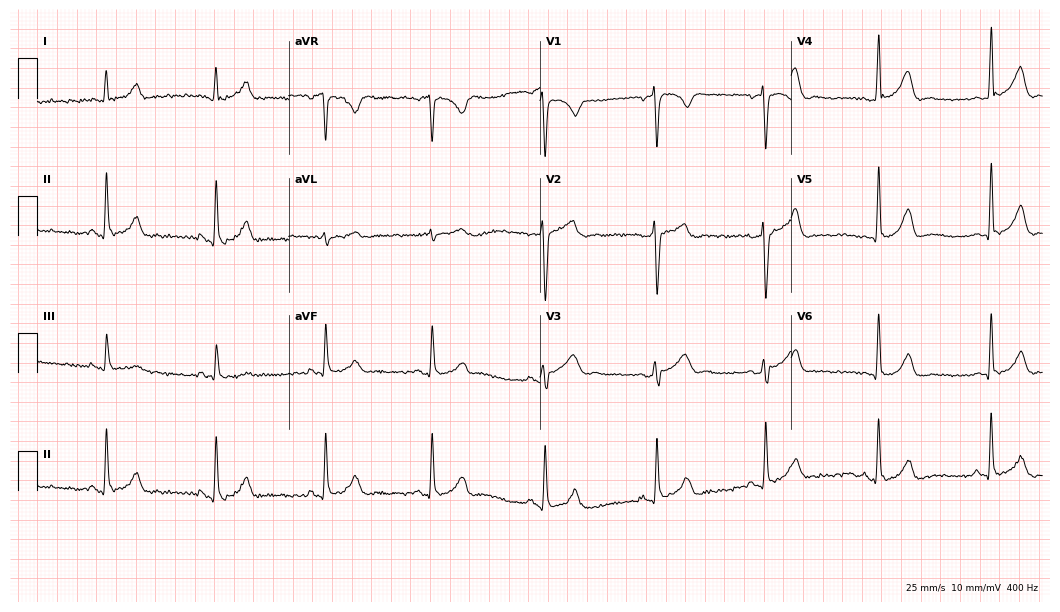
12-lead ECG from a 38-year-old male. Recorded interpretation: within normal limits.